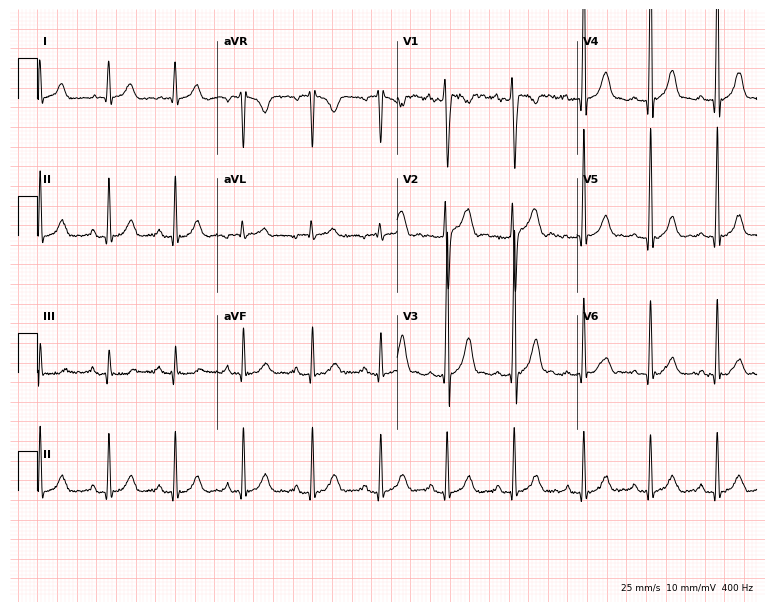
ECG — a male, 20 years old. Labelled as a normal ECG.